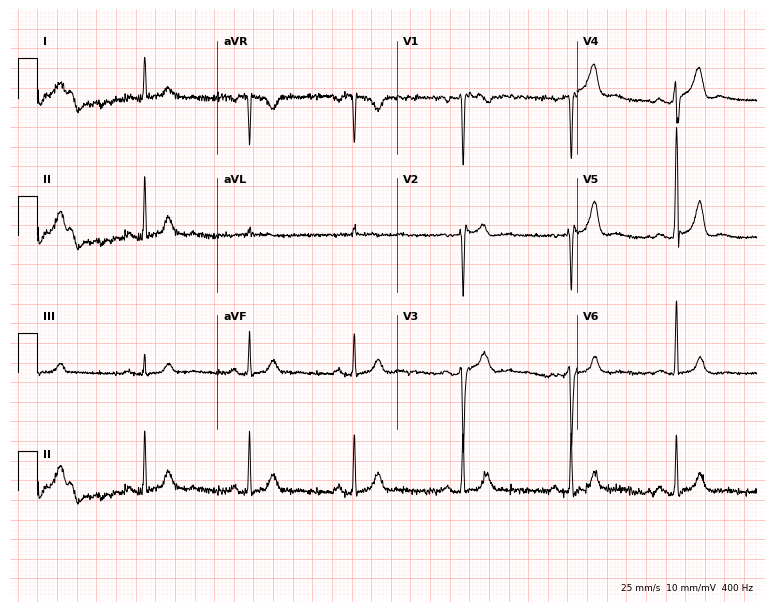
Standard 12-lead ECG recorded from a male patient, 50 years old (7.3-second recording at 400 Hz). None of these six findings is recorded: first-degree AV block, right bundle branch block, left bundle branch block, sinus bradycardia, atrial fibrillation, sinus tachycardia.